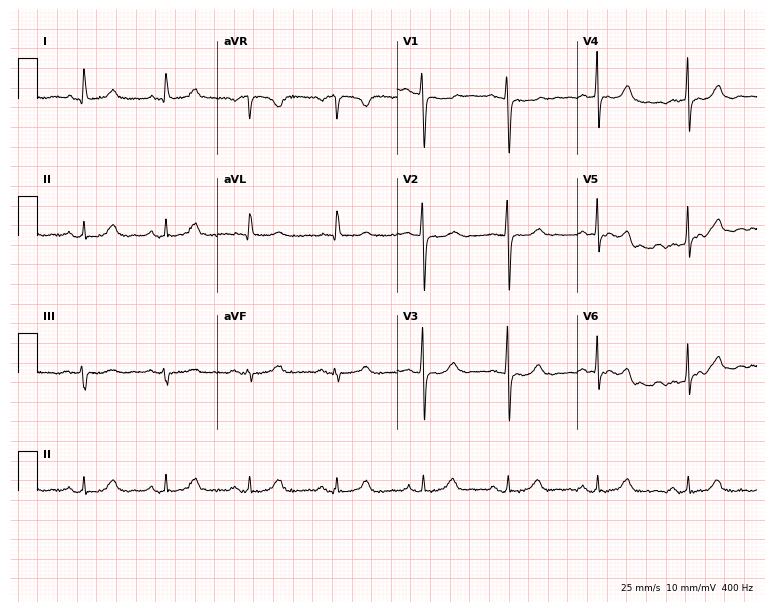
Electrocardiogram (7.3-second recording at 400 Hz), a woman, 71 years old. Overall reading on record: normal ECG.